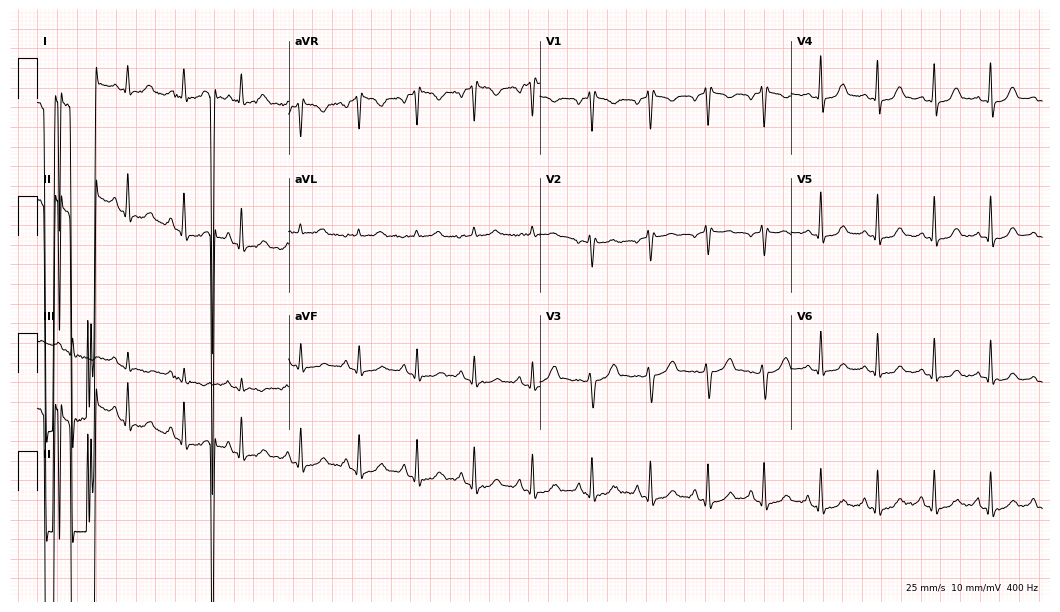
Electrocardiogram, a 43-year-old female patient. Of the six screened findings (first-degree AV block, right bundle branch block, left bundle branch block, sinus bradycardia, atrial fibrillation, sinus tachycardia), none is recorded. Other findings, if any, are not listed.